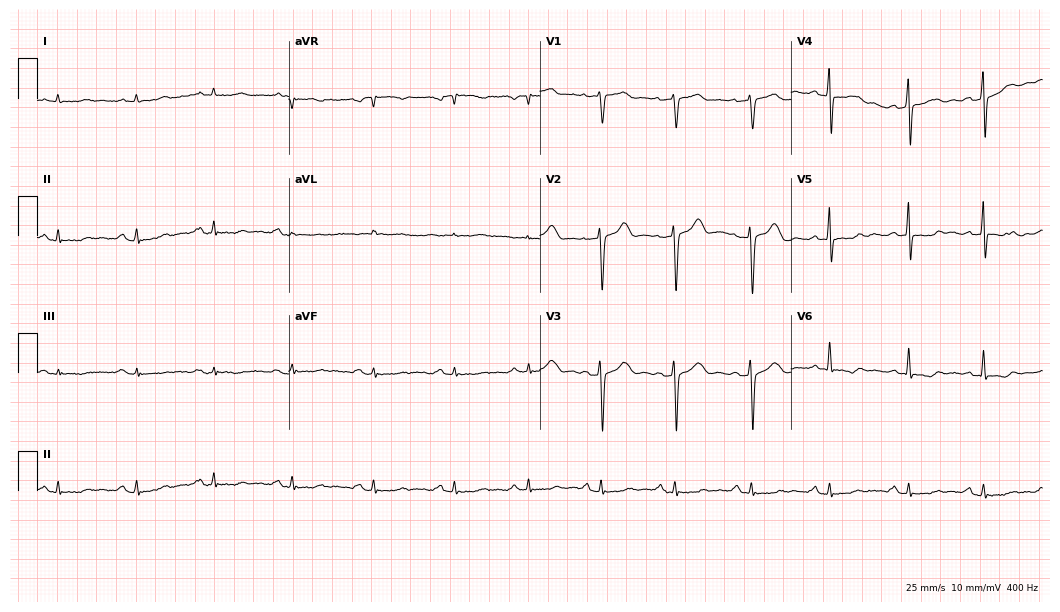
Electrocardiogram (10.2-second recording at 400 Hz), a 54-year-old male. Overall reading on record: normal ECG.